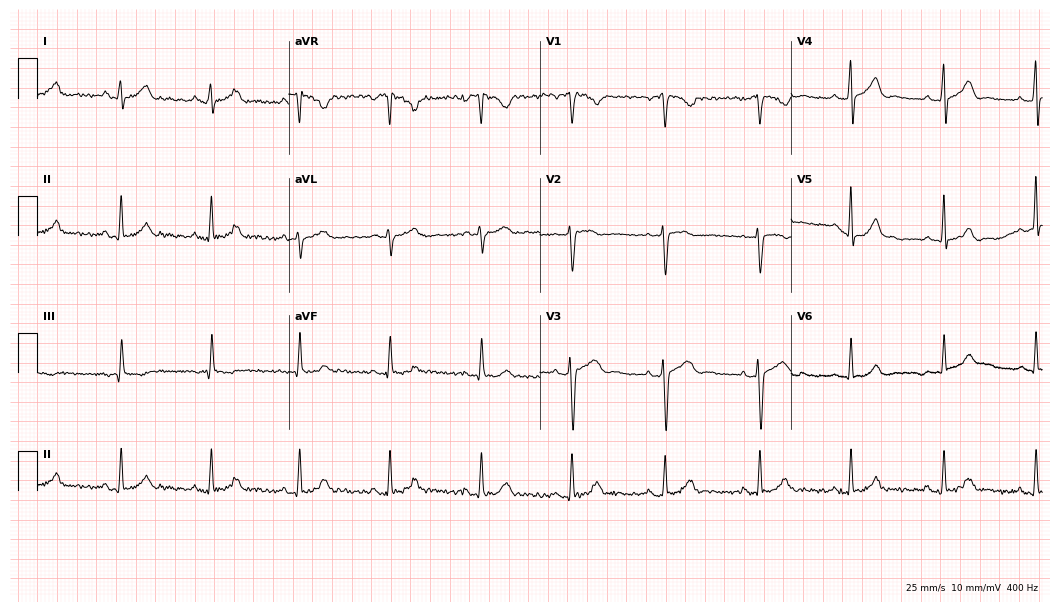
12-lead ECG (10.2-second recording at 400 Hz) from a woman, 45 years old. Labelled as a normal ECG.